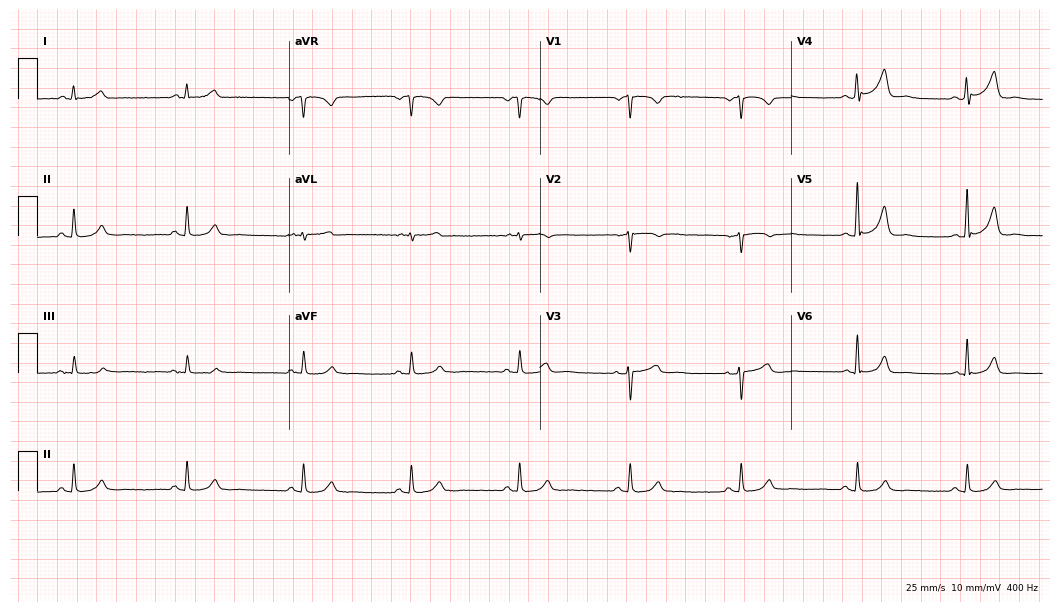
12-lead ECG from a male patient, 58 years old (10.2-second recording at 400 Hz). Recorded interpretation: within normal limits.